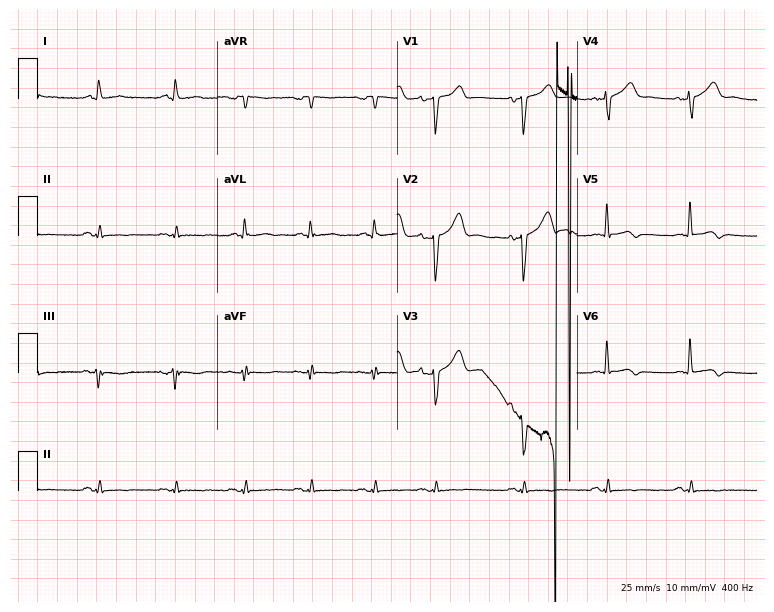
Electrocardiogram (7.3-second recording at 400 Hz), a 71-year-old woman. Of the six screened findings (first-degree AV block, right bundle branch block, left bundle branch block, sinus bradycardia, atrial fibrillation, sinus tachycardia), none is recorded.